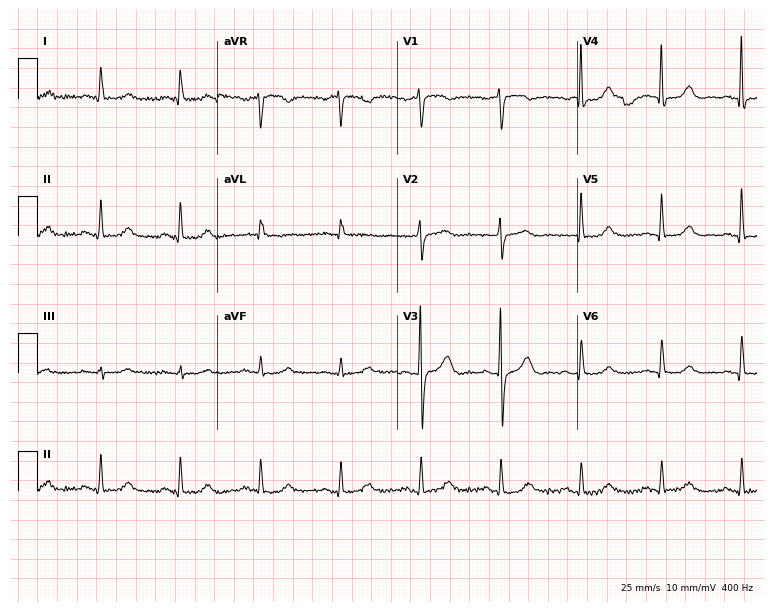
ECG — an 85-year-old woman. Labelled as a normal ECG.